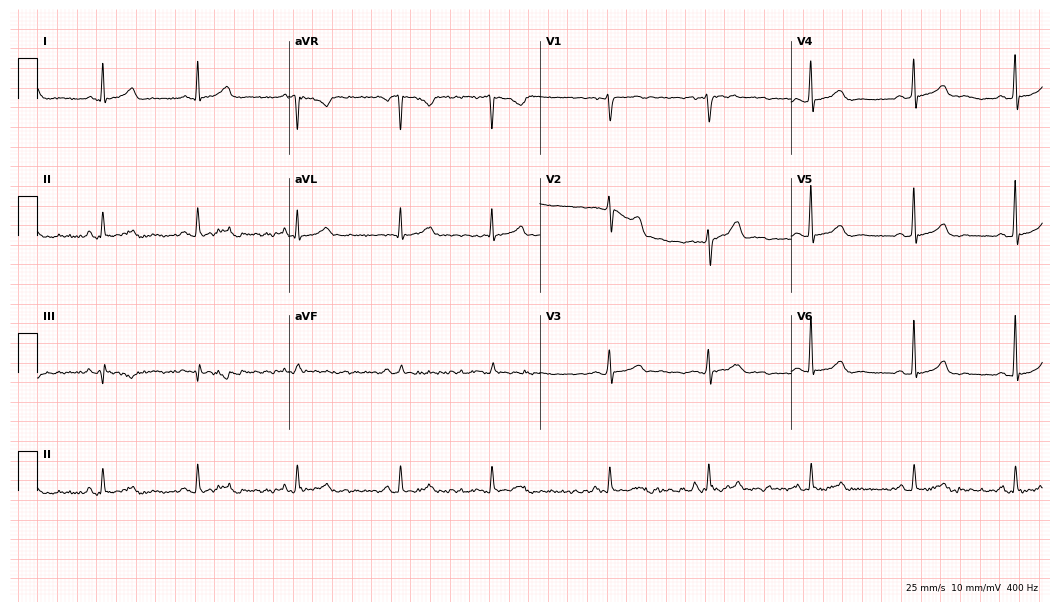
12-lead ECG from a male, 46 years old. Labelled as a normal ECG.